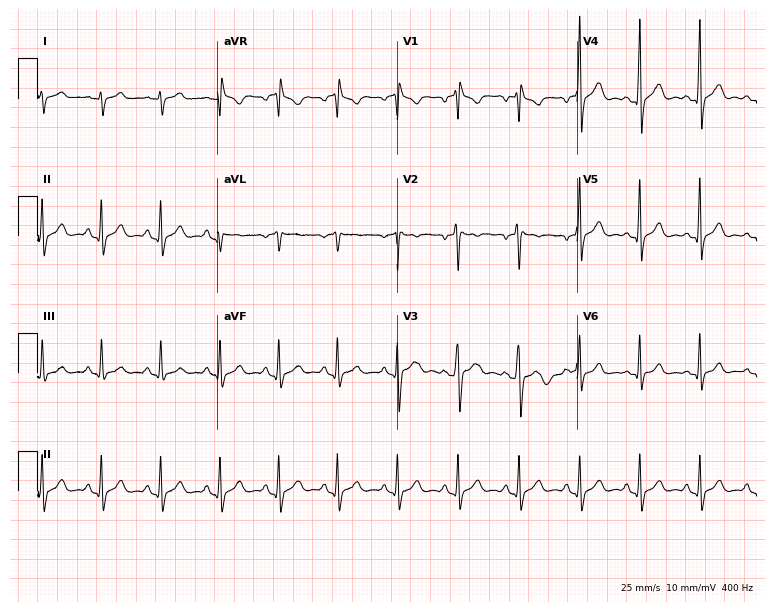
12-lead ECG (7.3-second recording at 400 Hz) from a male patient, 27 years old. Screened for six findings — first-degree AV block, right bundle branch block (RBBB), left bundle branch block (LBBB), sinus bradycardia, atrial fibrillation (AF), sinus tachycardia — none is recorded.